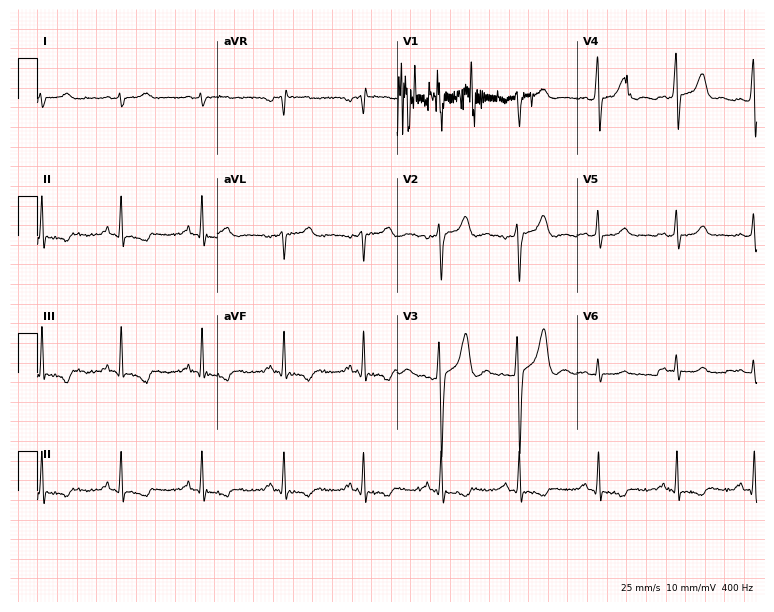
Resting 12-lead electrocardiogram (7.3-second recording at 400 Hz). Patient: a man, 43 years old. None of these six findings is recorded: first-degree AV block, right bundle branch block, left bundle branch block, sinus bradycardia, atrial fibrillation, sinus tachycardia.